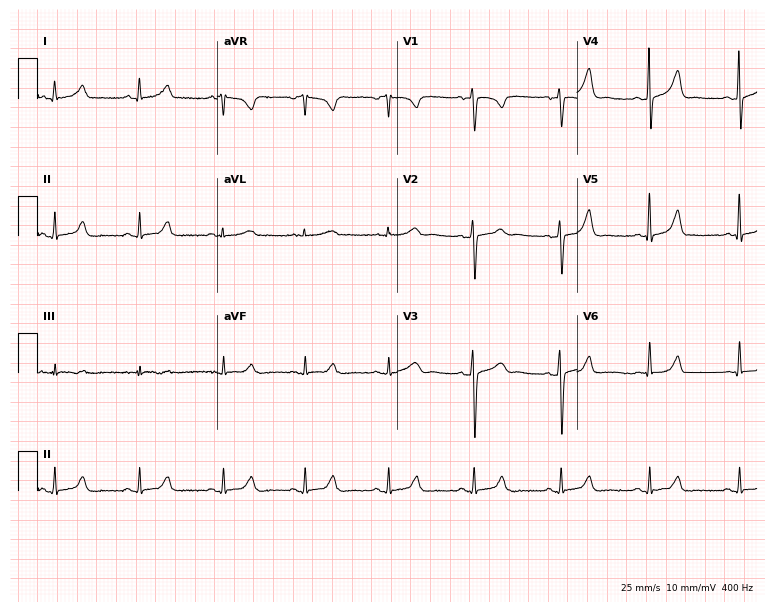
12-lead ECG (7.3-second recording at 400 Hz) from a woman, 42 years old. Labelled as a normal ECG.